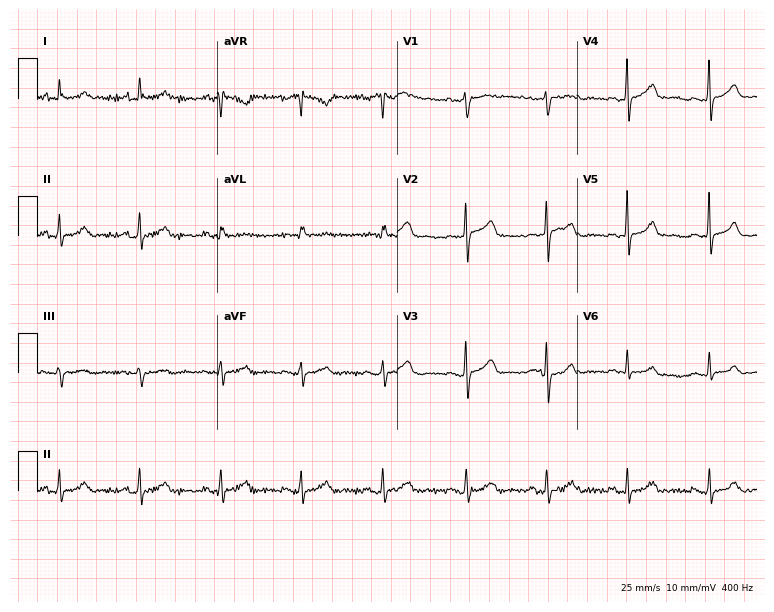
12-lead ECG from a 44-year-old female patient (7.3-second recording at 400 Hz). Recorded interpretation: within normal limits.